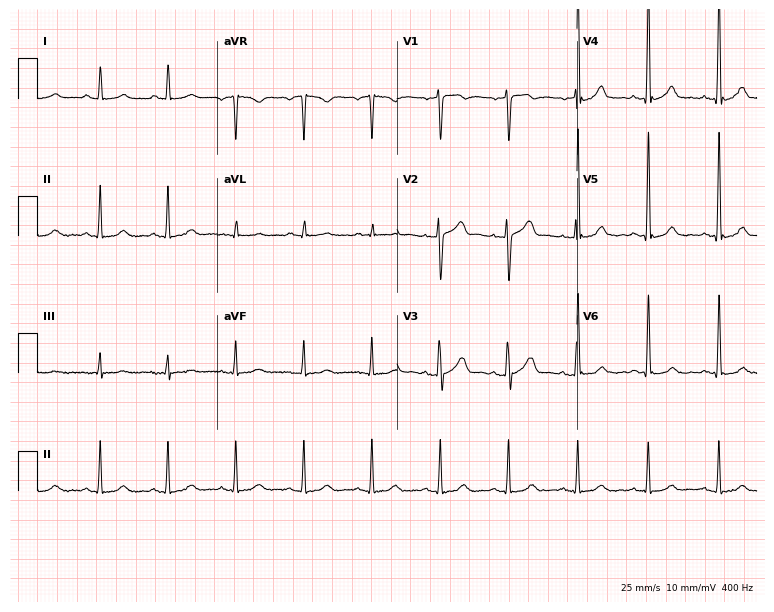
12-lead ECG from a male, 55 years old. Recorded interpretation: within normal limits.